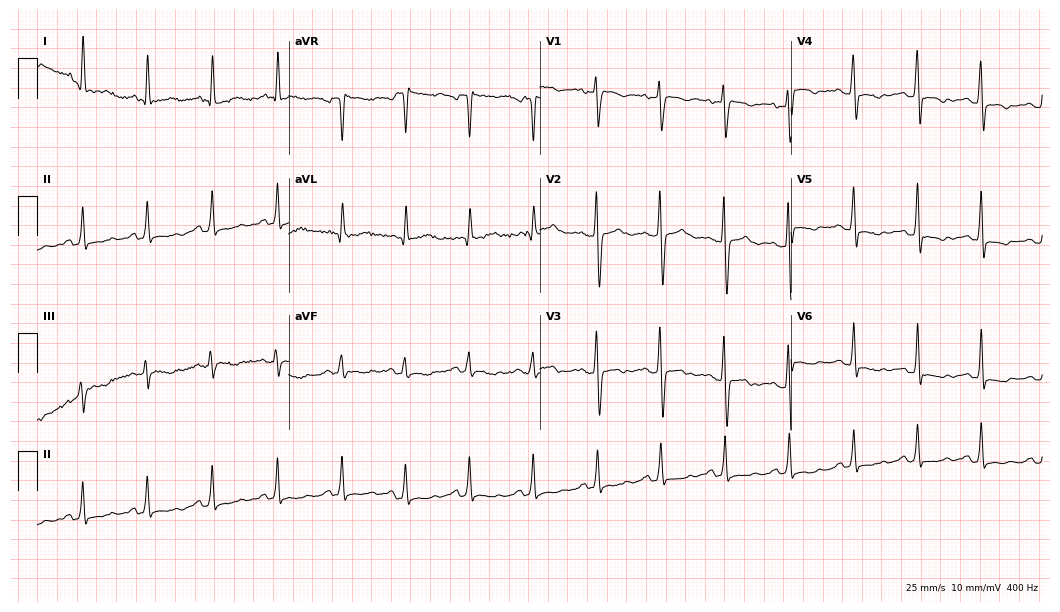
ECG (10.2-second recording at 400 Hz) — a 49-year-old woman. Screened for six findings — first-degree AV block, right bundle branch block, left bundle branch block, sinus bradycardia, atrial fibrillation, sinus tachycardia — none is recorded.